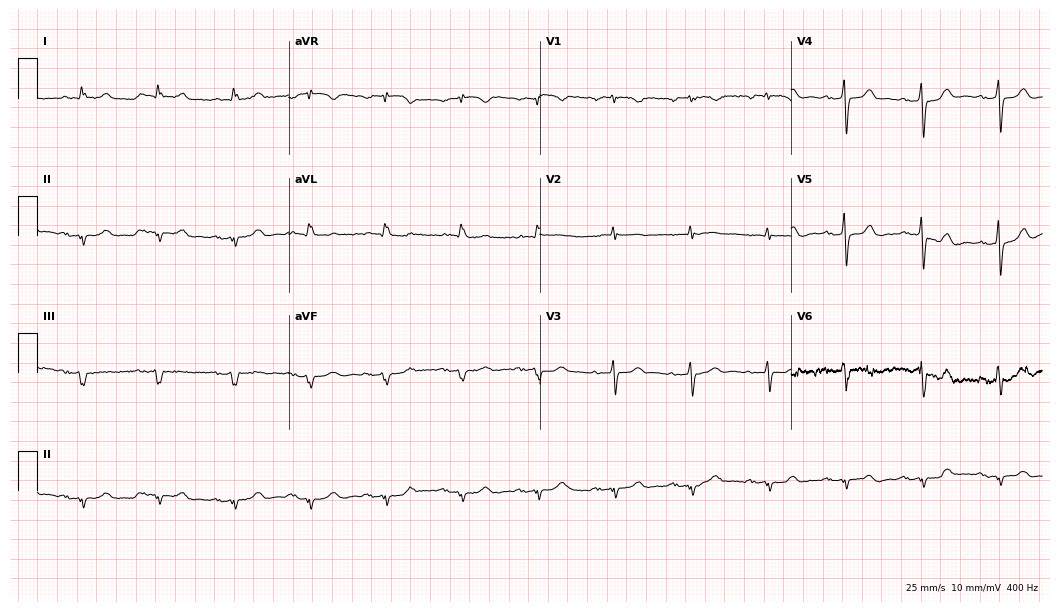
ECG — a male patient, 83 years old. Screened for six findings — first-degree AV block, right bundle branch block, left bundle branch block, sinus bradycardia, atrial fibrillation, sinus tachycardia — none is recorded.